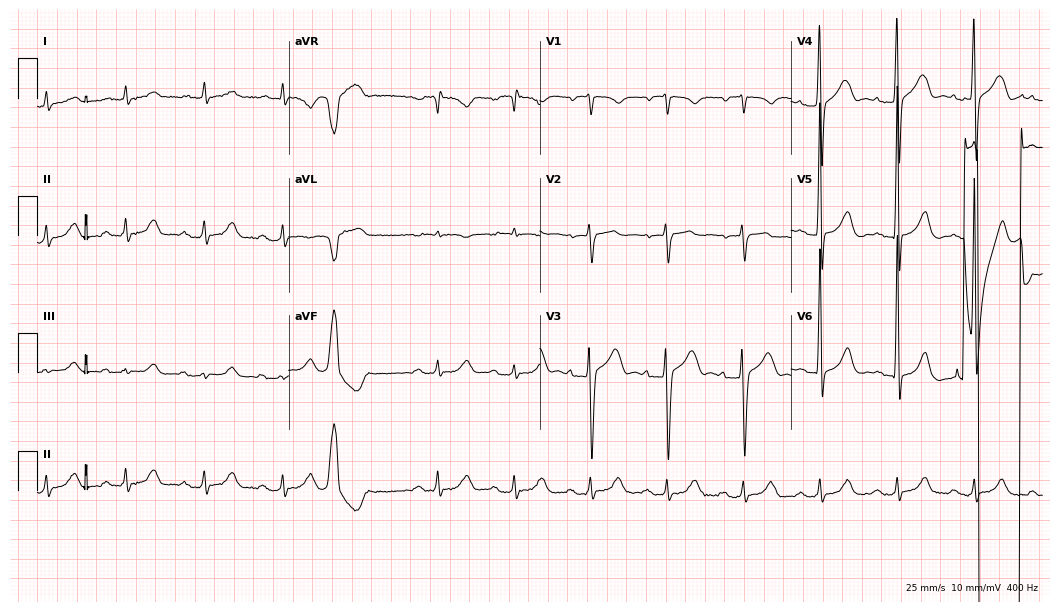
Standard 12-lead ECG recorded from a male, 80 years old (10.2-second recording at 400 Hz). Read as a normal ECG.